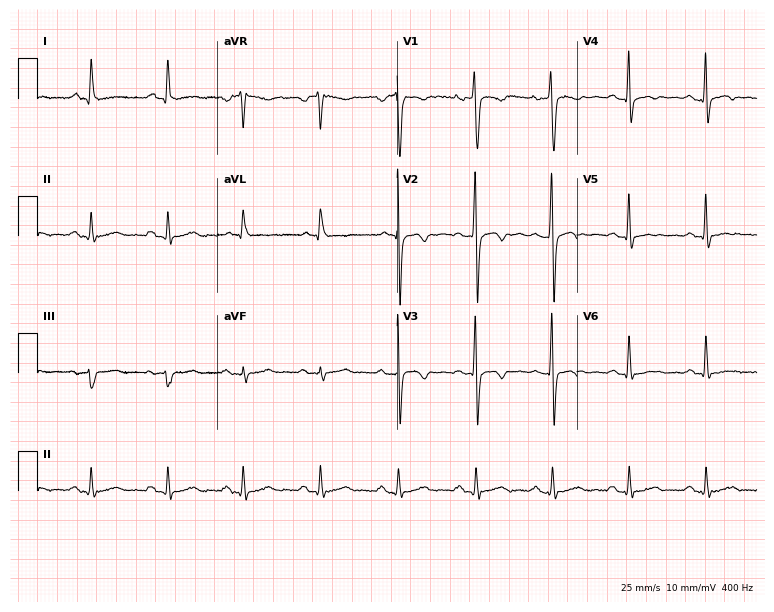
Resting 12-lead electrocardiogram. Patient: a 51-year-old male. None of these six findings is recorded: first-degree AV block, right bundle branch block, left bundle branch block, sinus bradycardia, atrial fibrillation, sinus tachycardia.